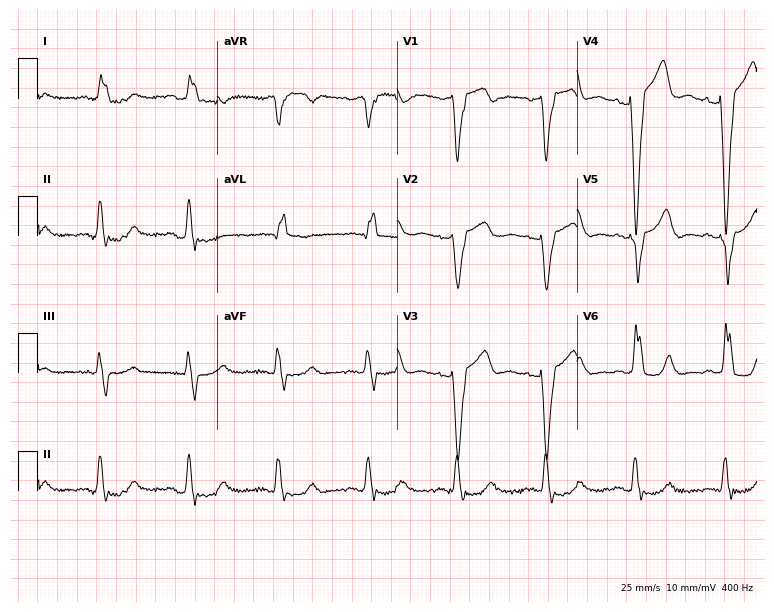
12-lead ECG (7.3-second recording at 400 Hz) from a male, 76 years old. Findings include left bundle branch block (LBBB), atrial fibrillation (AF).